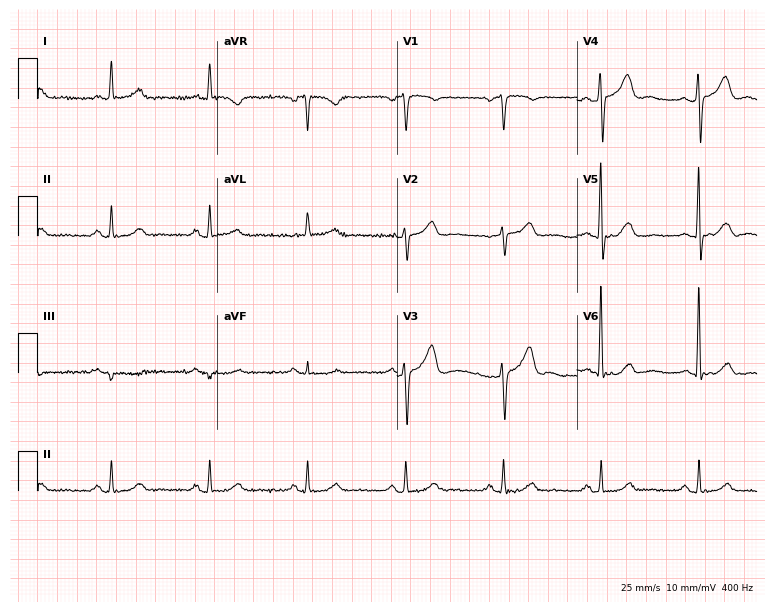
12-lead ECG from a 74-year-old male (7.3-second recording at 400 Hz). Recorded interpretation: within normal limits.